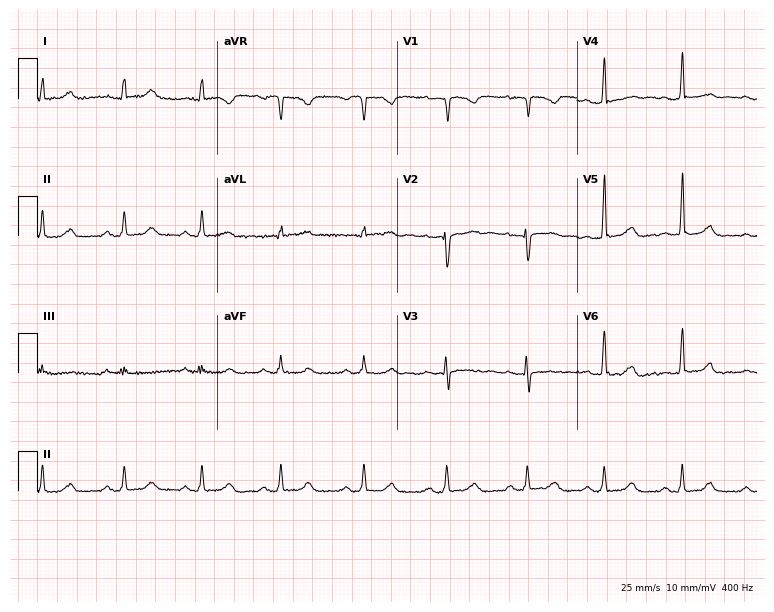
12-lead ECG from a woman, 32 years old. No first-degree AV block, right bundle branch block (RBBB), left bundle branch block (LBBB), sinus bradycardia, atrial fibrillation (AF) or sinus tachycardia recorded for this tracing.